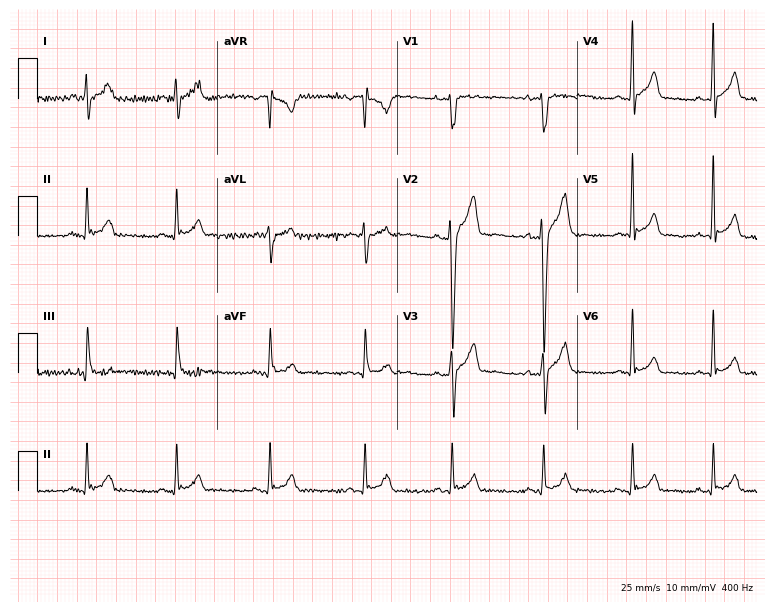
Electrocardiogram, a male, 27 years old. Overall reading on record: normal ECG.